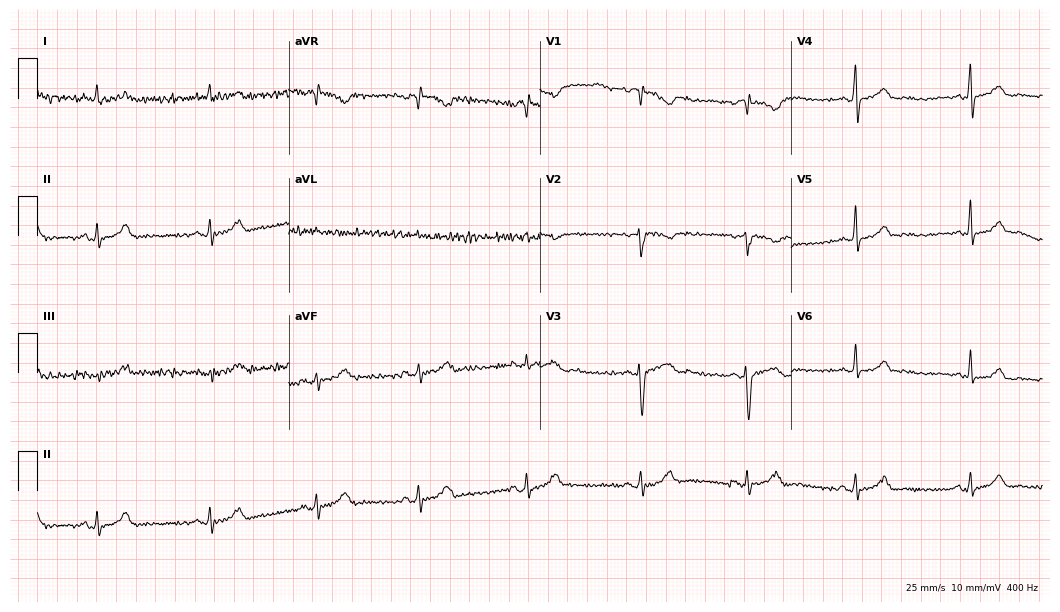
Electrocardiogram (10.2-second recording at 400 Hz), a woman, 34 years old. Of the six screened findings (first-degree AV block, right bundle branch block (RBBB), left bundle branch block (LBBB), sinus bradycardia, atrial fibrillation (AF), sinus tachycardia), none is recorded. Findings outside these six are not listed.